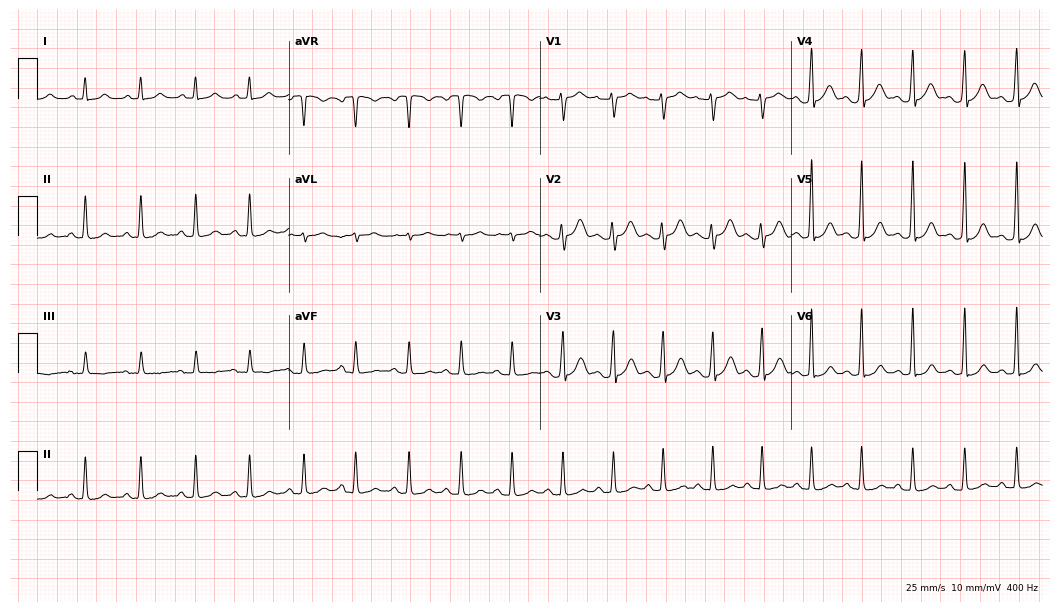
ECG — a 36-year-old woman. Findings include sinus tachycardia (a sinus rate of 100 beats per minute or more).